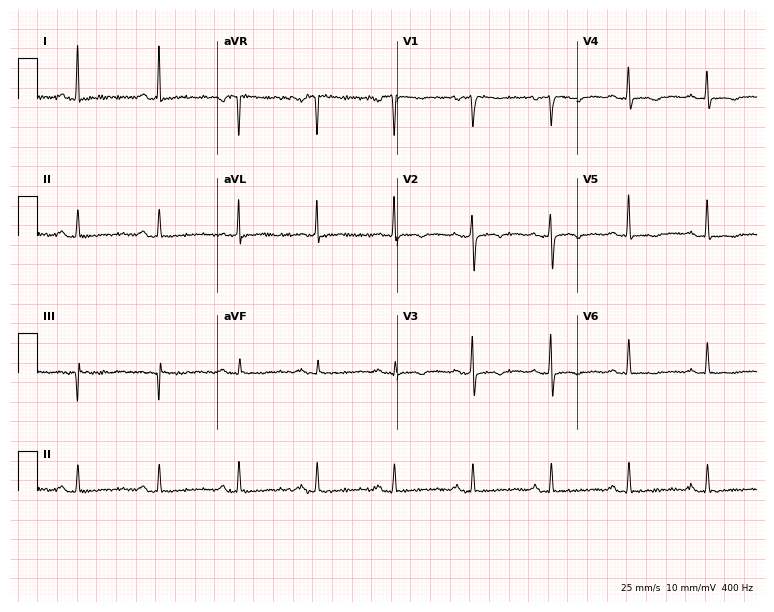
Electrocardiogram, a female, 59 years old. Of the six screened findings (first-degree AV block, right bundle branch block (RBBB), left bundle branch block (LBBB), sinus bradycardia, atrial fibrillation (AF), sinus tachycardia), none is recorded. Other findings, if any, are not listed.